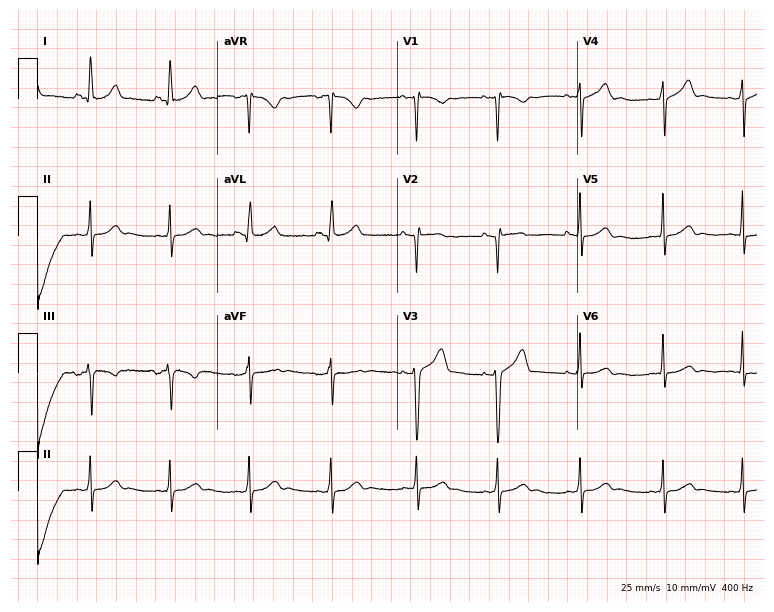
Standard 12-lead ECG recorded from a woman, 19 years old (7.3-second recording at 400 Hz). None of these six findings is recorded: first-degree AV block, right bundle branch block (RBBB), left bundle branch block (LBBB), sinus bradycardia, atrial fibrillation (AF), sinus tachycardia.